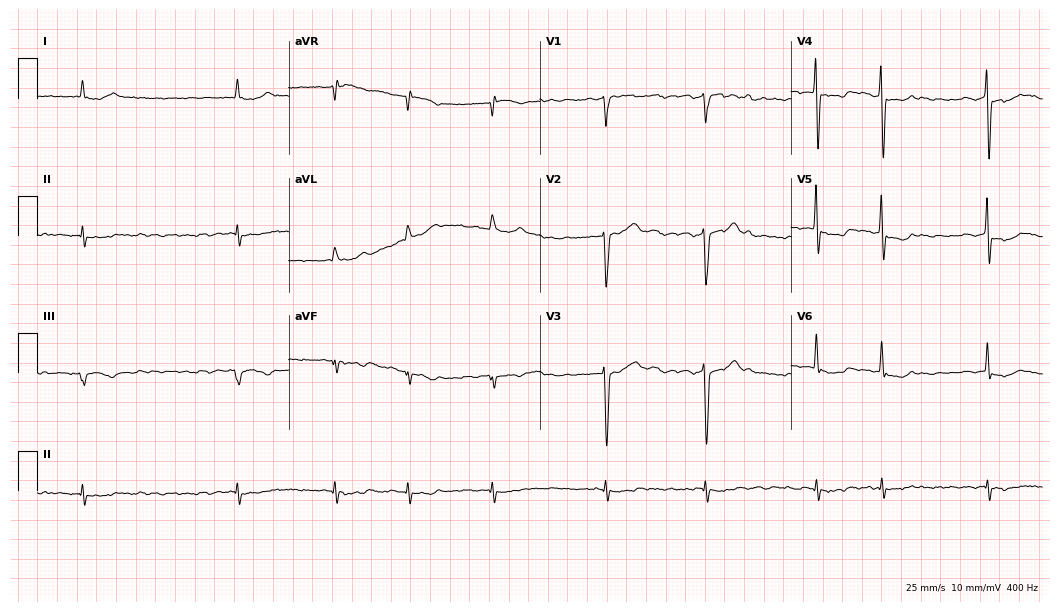
12-lead ECG from a man, 82 years old. Shows atrial fibrillation.